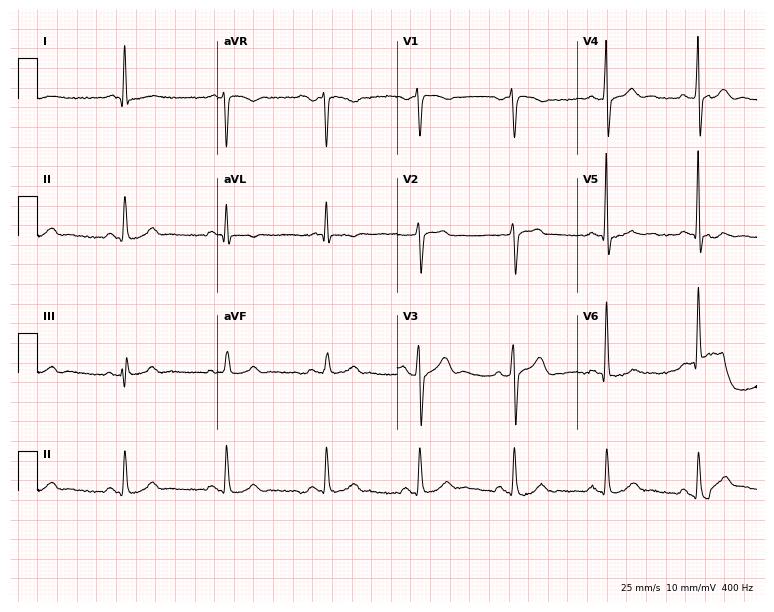
Standard 12-lead ECG recorded from a man, 61 years old. None of these six findings is recorded: first-degree AV block, right bundle branch block, left bundle branch block, sinus bradycardia, atrial fibrillation, sinus tachycardia.